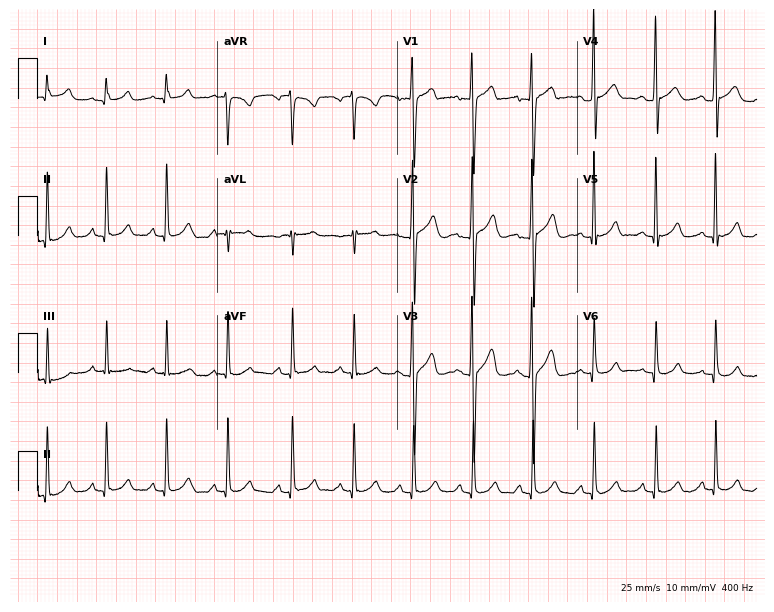
Resting 12-lead electrocardiogram (7.3-second recording at 400 Hz). Patient: a 17-year-old man. None of these six findings is recorded: first-degree AV block, right bundle branch block (RBBB), left bundle branch block (LBBB), sinus bradycardia, atrial fibrillation (AF), sinus tachycardia. Findings outside these six are not listed.